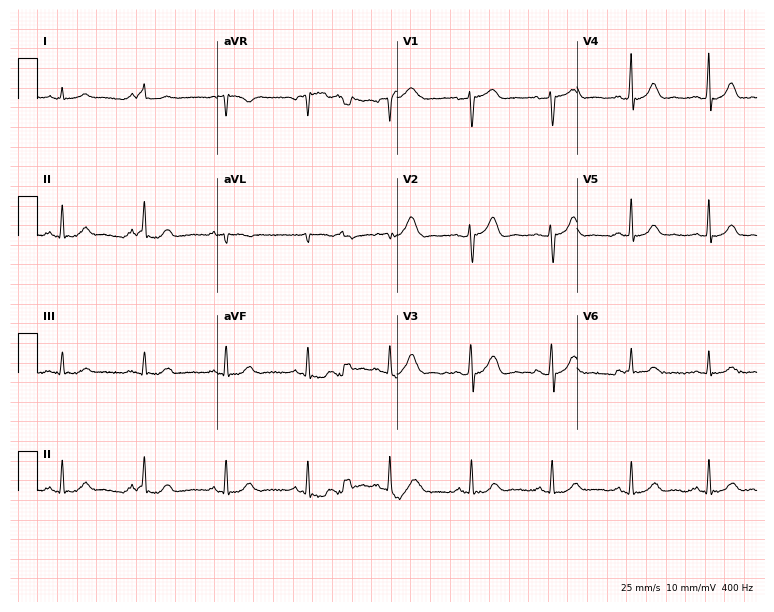
12-lead ECG (7.3-second recording at 400 Hz) from a man, 40 years old. Labelled as a normal ECG.